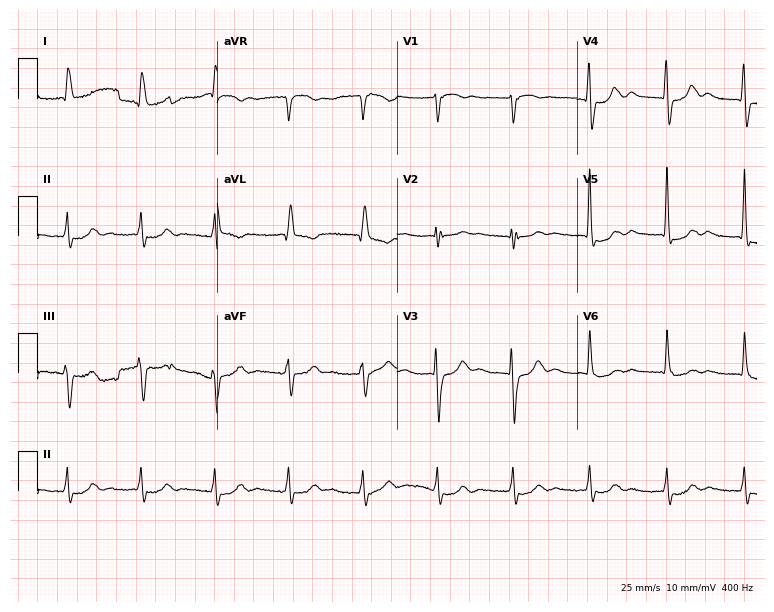
Resting 12-lead electrocardiogram. Patient: a 72-year-old woman. The tracing shows first-degree AV block.